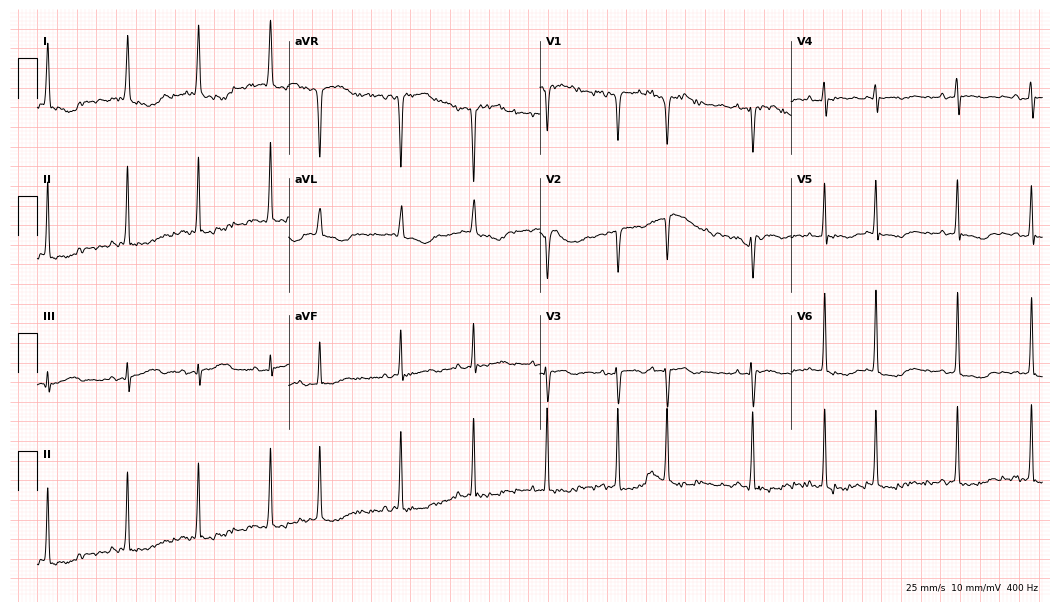
ECG — a woman, 72 years old. Screened for six findings — first-degree AV block, right bundle branch block, left bundle branch block, sinus bradycardia, atrial fibrillation, sinus tachycardia — none is recorded. Other findings, if any, are not listed.